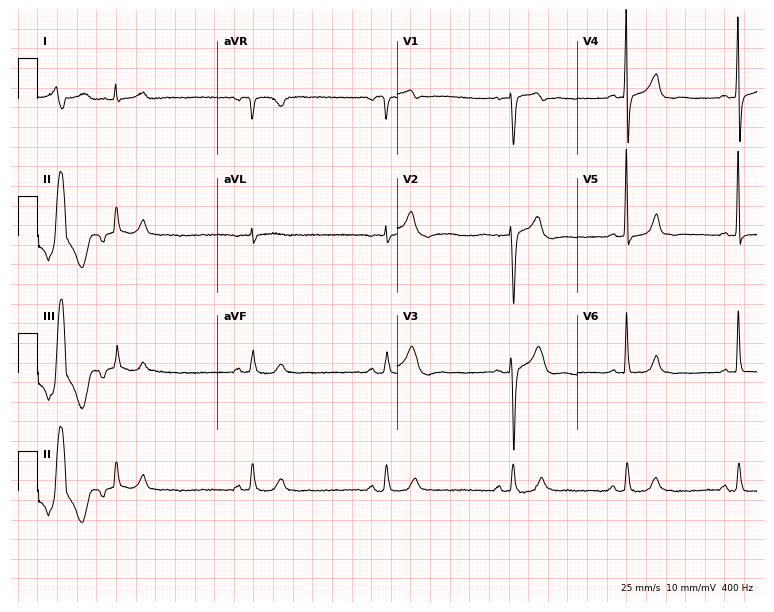
12-lead ECG from a 69-year-old male patient. Shows sinus bradycardia (a sinus rate of 50 beats per minute or less).